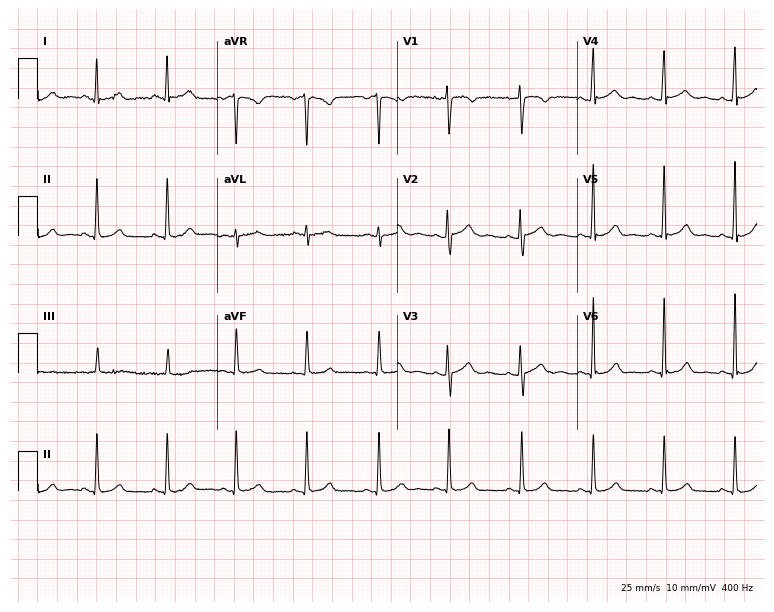
Electrocardiogram, a woman, 34 years old. Of the six screened findings (first-degree AV block, right bundle branch block, left bundle branch block, sinus bradycardia, atrial fibrillation, sinus tachycardia), none is recorded.